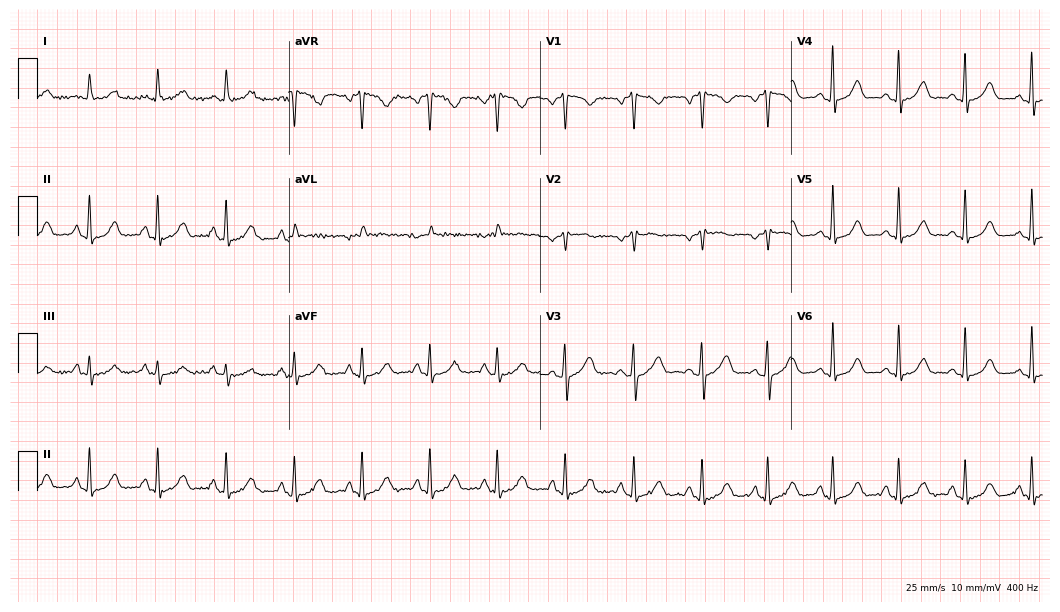
Standard 12-lead ECG recorded from a 52-year-old woman. Read as a normal ECG.